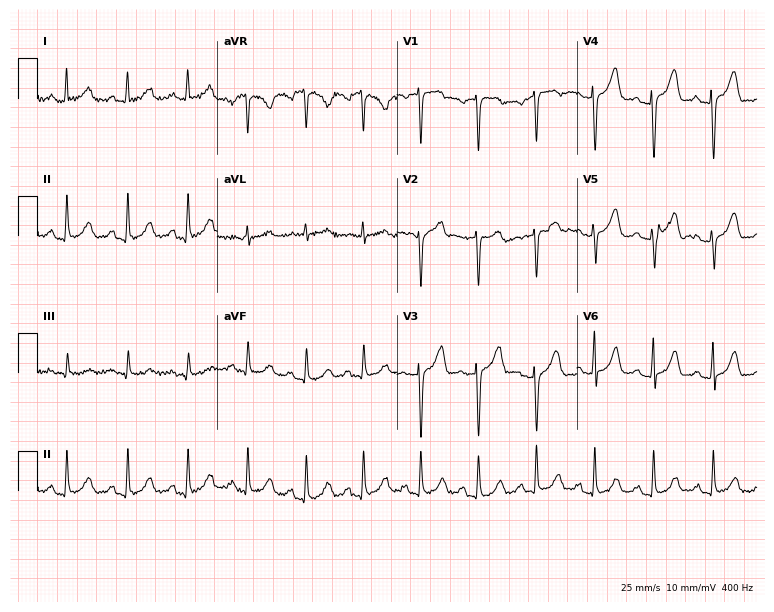
ECG (7.3-second recording at 400 Hz) — a female, 57 years old. Screened for six findings — first-degree AV block, right bundle branch block, left bundle branch block, sinus bradycardia, atrial fibrillation, sinus tachycardia — none is recorded. Only these six findings were labelled.